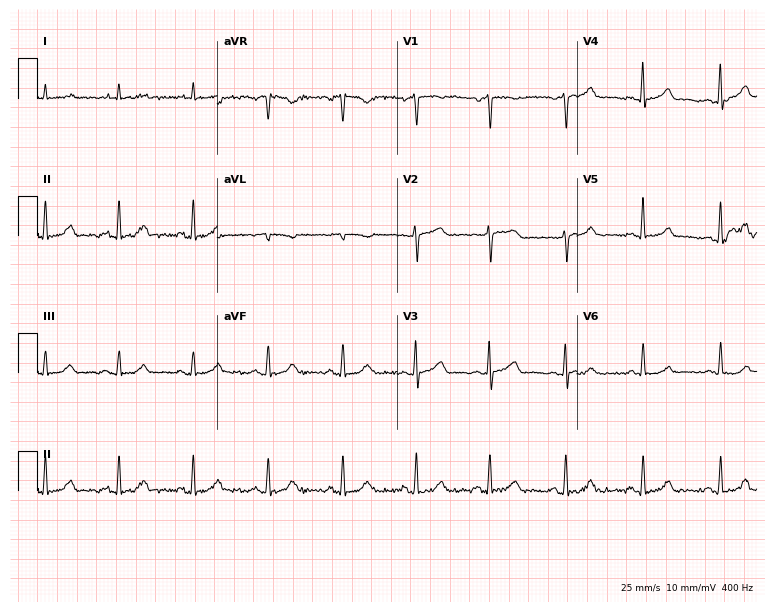
12-lead ECG from a 56-year-old male. Labelled as a normal ECG.